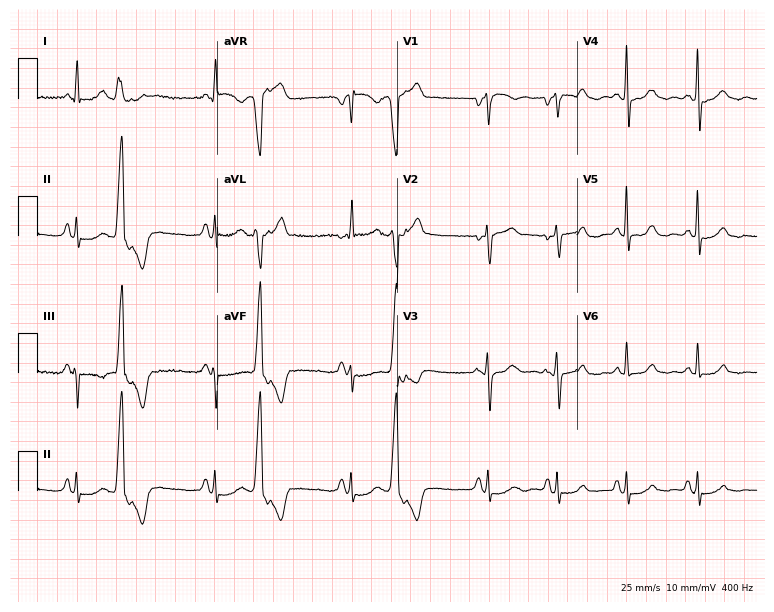
Resting 12-lead electrocardiogram. Patient: a woman, 65 years old. None of these six findings is recorded: first-degree AV block, right bundle branch block (RBBB), left bundle branch block (LBBB), sinus bradycardia, atrial fibrillation (AF), sinus tachycardia.